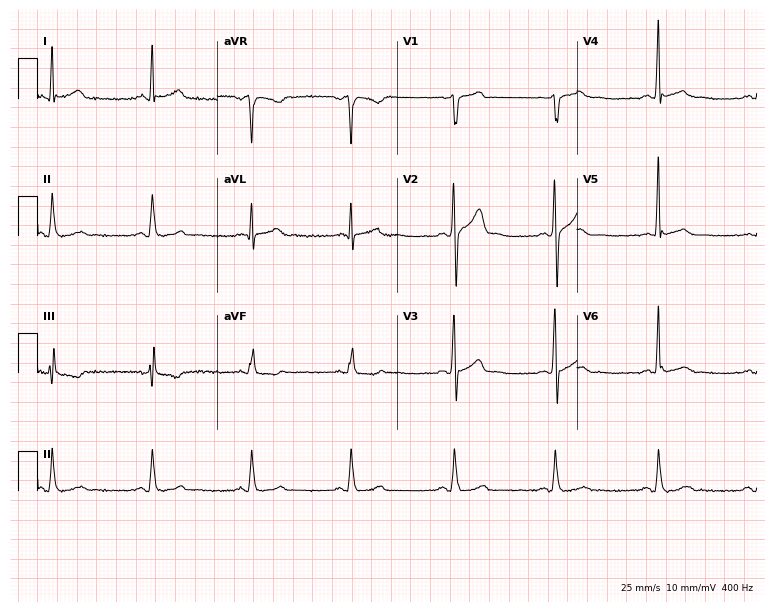
Standard 12-lead ECG recorded from a 47-year-old male patient. Read as a normal ECG.